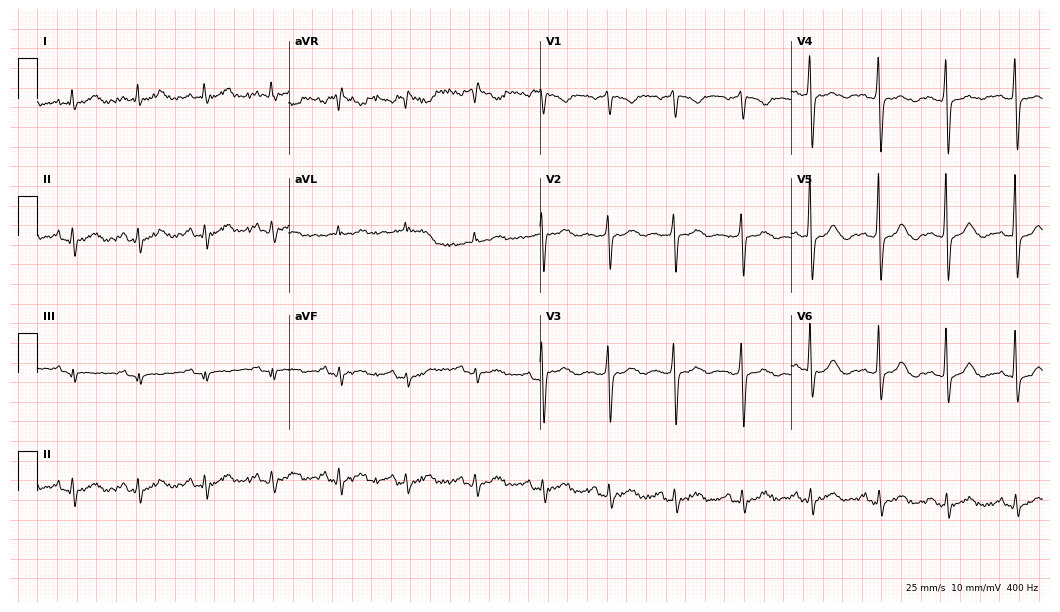
12-lead ECG from a male, 59 years old. Labelled as a normal ECG.